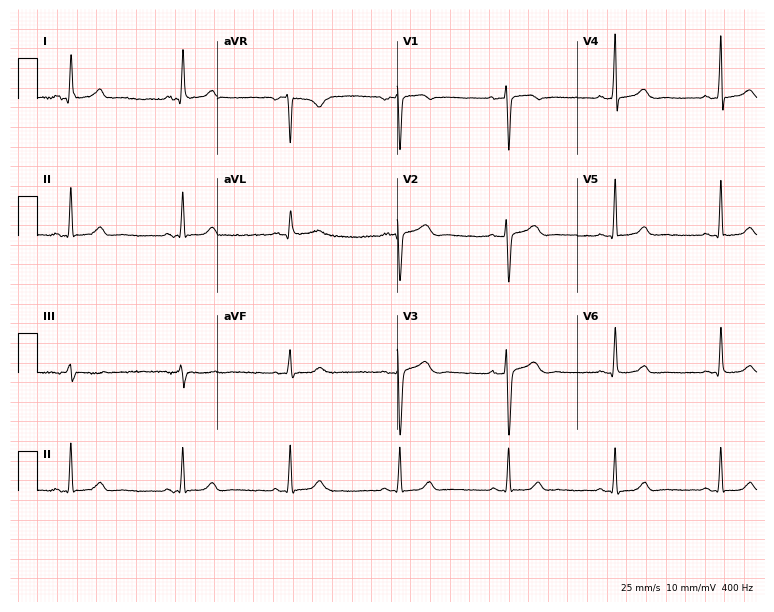
ECG (7.3-second recording at 400 Hz) — a woman, 41 years old. Labelled as a normal ECG.